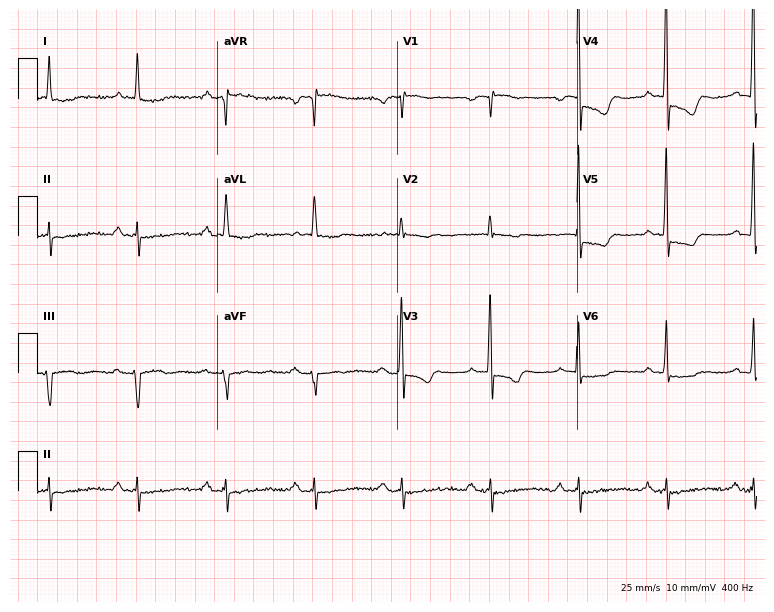
Resting 12-lead electrocardiogram (7.3-second recording at 400 Hz). Patient: a man, 69 years old. None of these six findings is recorded: first-degree AV block, right bundle branch block, left bundle branch block, sinus bradycardia, atrial fibrillation, sinus tachycardia.